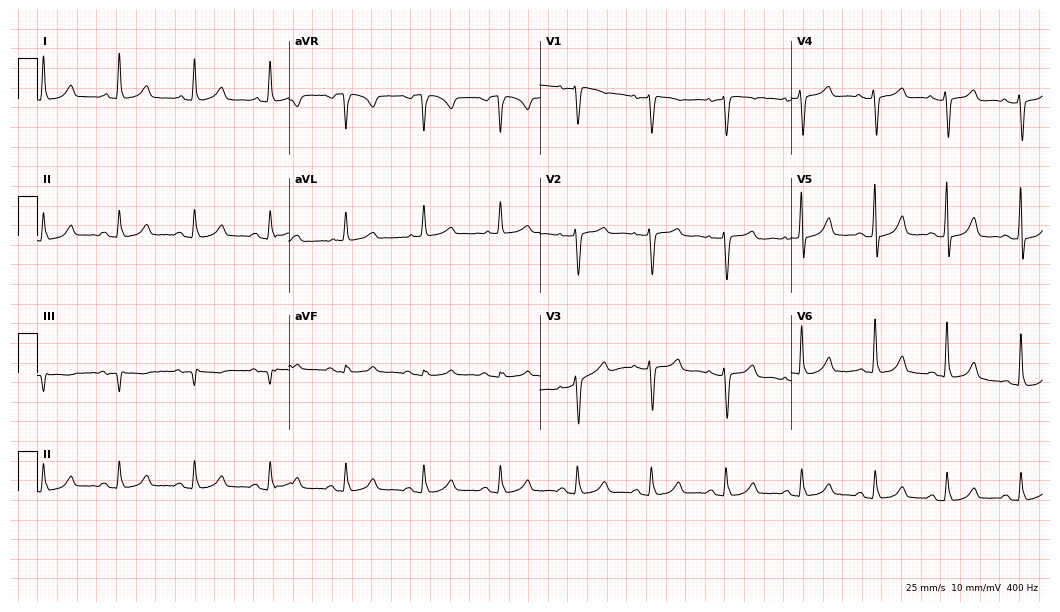
Resting 12-lead electrocardiogram. Patient: a 65-year-old female. None of these six findings is recorded: first-degree AV block, right bundle branch block (RBBB), left bundle branch block (LBBB), sinus bradycardia, atrial fibrillation (AF), sinus tachycardia.